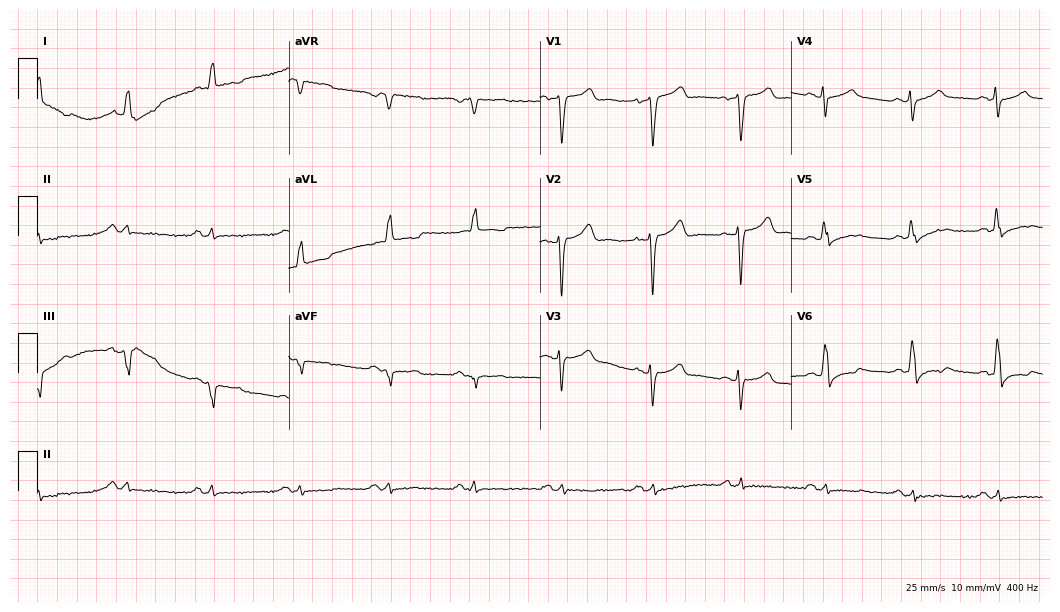
Electrocardiogram (10.2-second recording at 400 Hz), a 62-year-old man. Interpretation includes right bundle branch block.